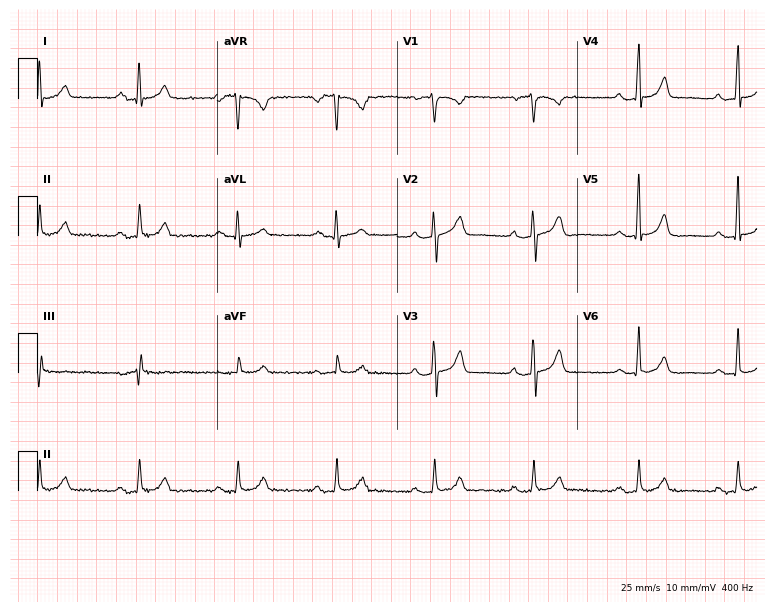
Resting 12-lead electrocardiogram (7.3-second recording at 400 Hz). Patient: a woman, 45 years old. None of these six findings is recorded: first-degree AV block, right bundle branch block (RBBB), left bundle branch block (LBBB), sinus bradycardia, atrial fibrillation (AF), sinus tachycardia. Only these six findings were labelled.